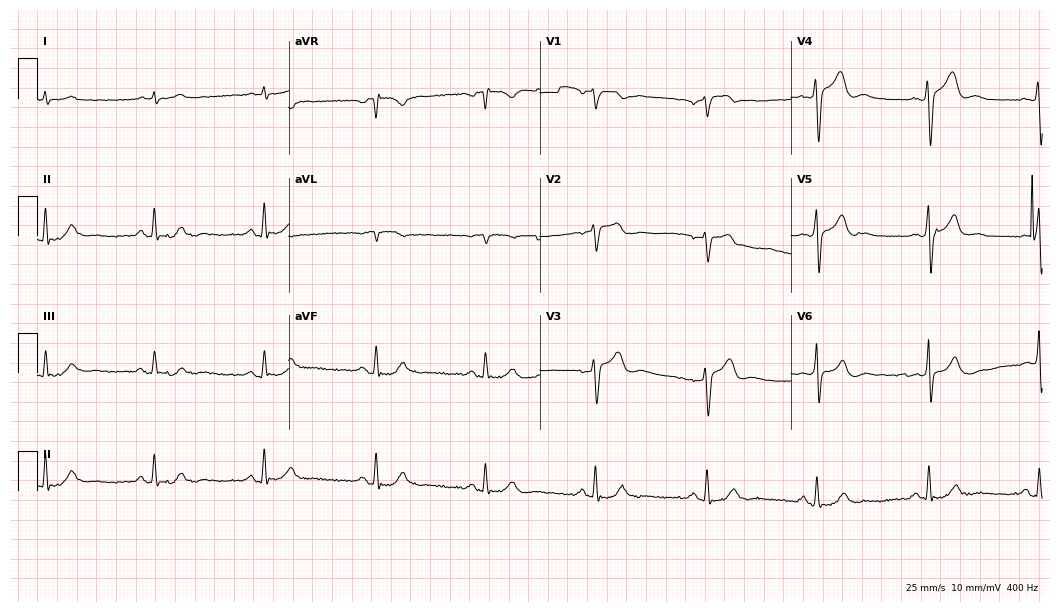
Resting 12-lead electrocardiogram. Patient: a male, 59 years old. None of these six findings is recorded: first-degree AV block, right bundle branch block, left bundle branch block, sinus bradycardia, atrial fibrillation, sinus tachycardia. Other findings, if any, are not listed.